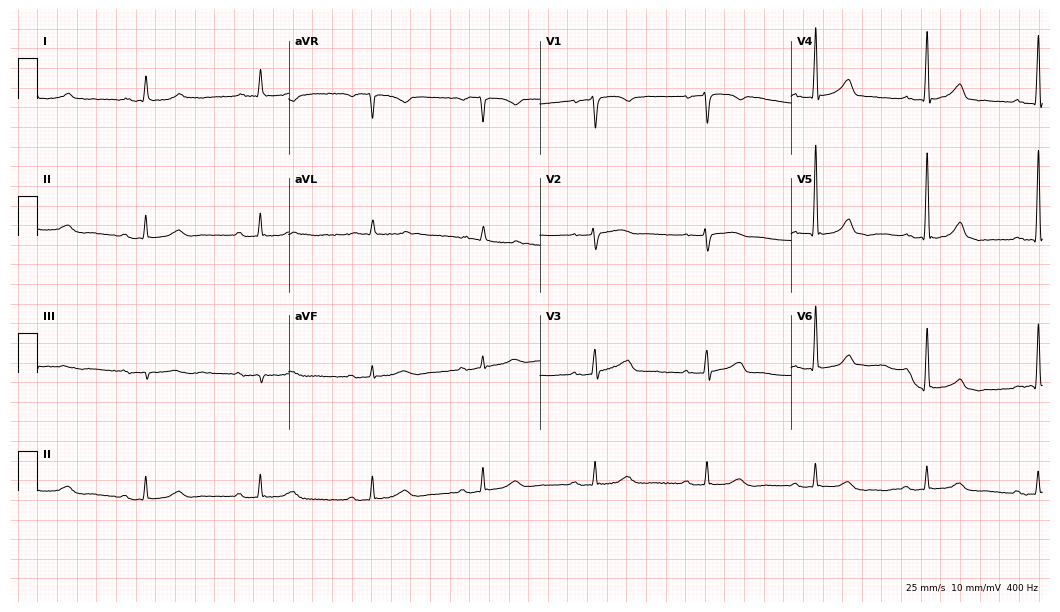
ECG (10.2-second recording at 400 Hz) — a male patient, 75 years old. Findings include first-degree AV block.